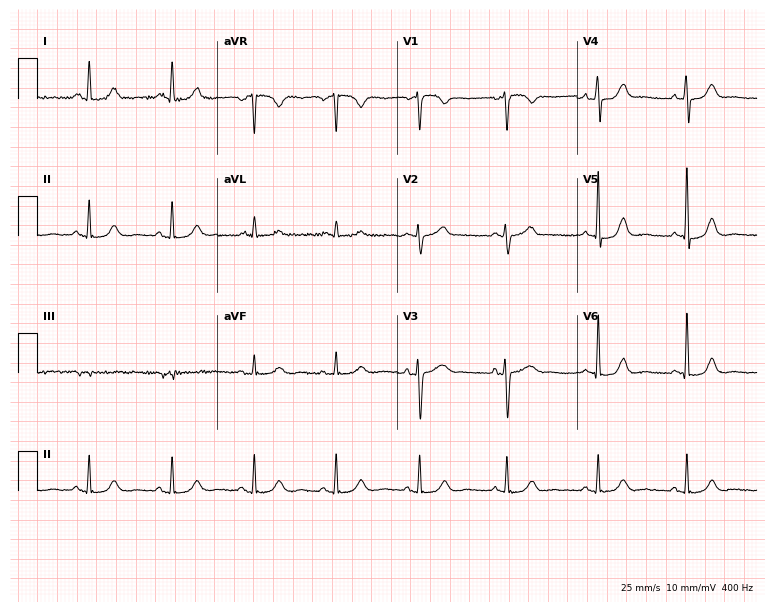
12-lead ECG from a 62-year-old female. Labelled as a normal ECG.